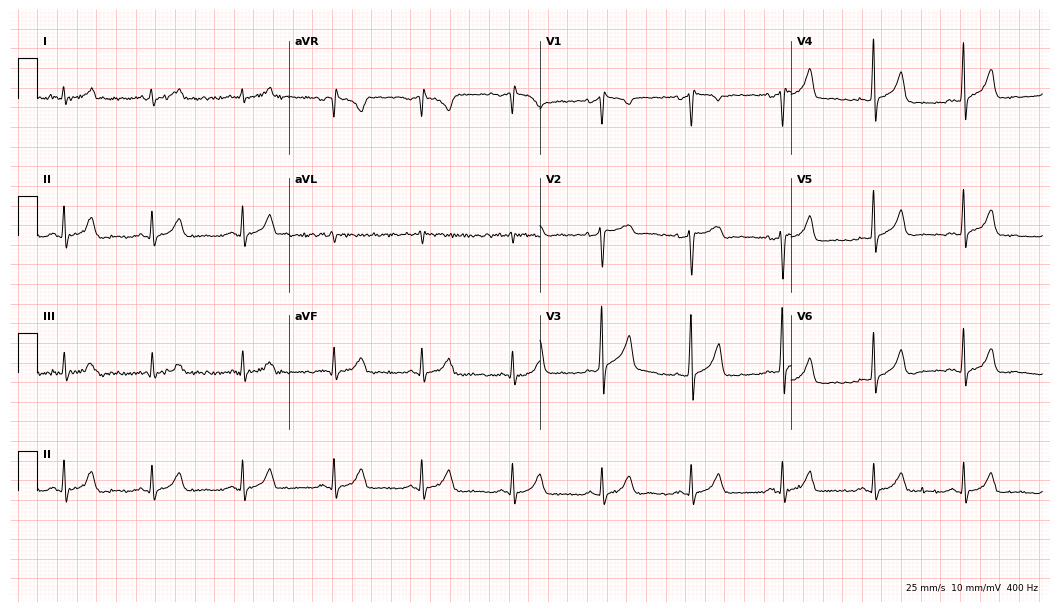
12-lead ECG from a male, 42 years old. Screened for six findings — first-degree AV block, right bundle branch block, left bundle branch block, sinus bradycardia, atrial fibrillation, sinus tachycardia — none is recorded.